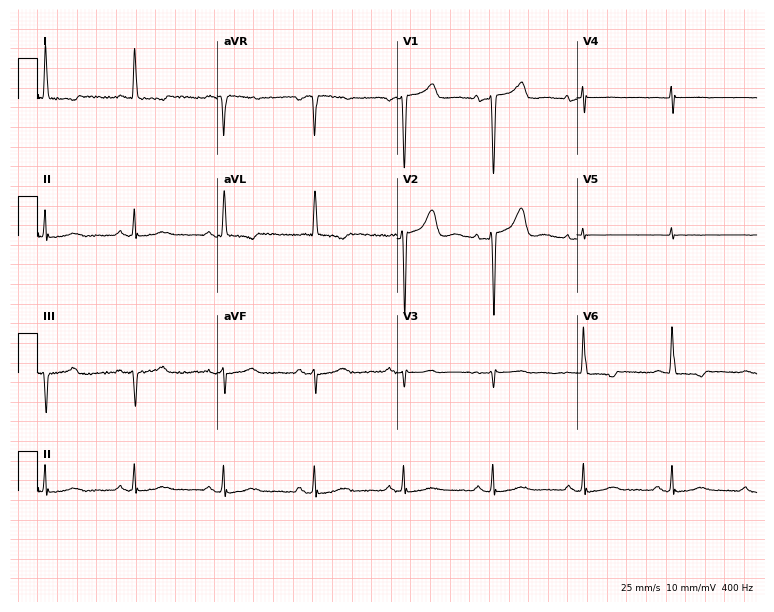
12-lead ECG from a female, 73 years old (7.3-second recording at 400 Hz). No first-degree AV block, right bundle branch block (RBBB), left bundle branch block (LBBB), sinus bradycardia, atrial fibrillation (AF) or sinus tachycardia recorded for this tracing.